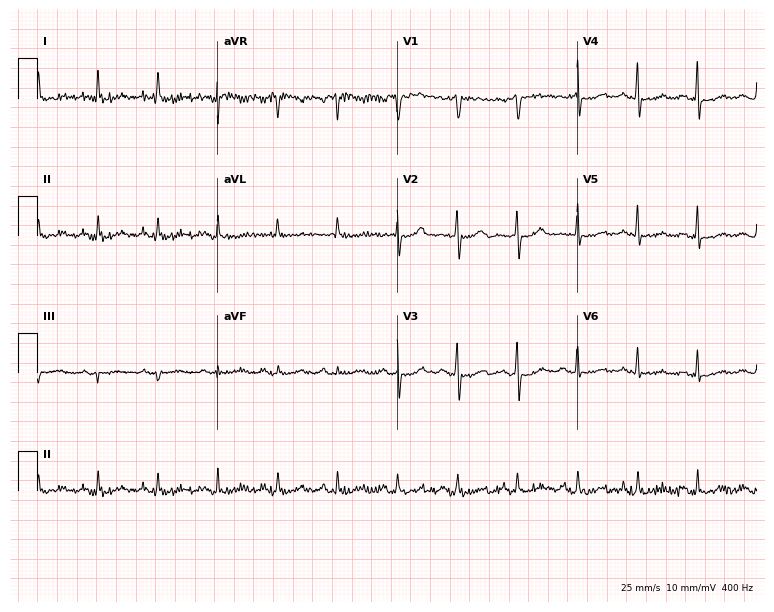
Electrocardiogram, a 63-year-old female patient. Of the six screened findings (first-degree AV block, right bundle branch block (RBBB), left bundle branch block (LBBB), sinus bradycardia, atrial fibrillation (AF), sinus tachycardia), none is recorded. Only these six findings were labelled.